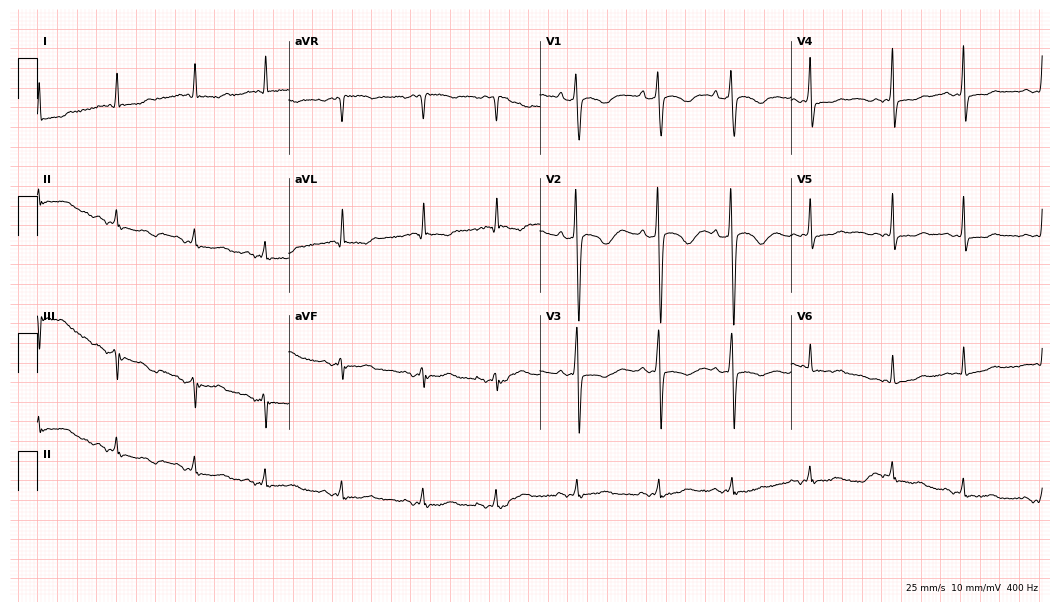
Resting 12-lead electrocardiogram. Patient: an 80-year-old female. None of these six findings is recorded: first-degree AV block, right bundle branch block, left bundle branch block, sinus bradycardia, atrial fibrillation, sinus tachycardia.